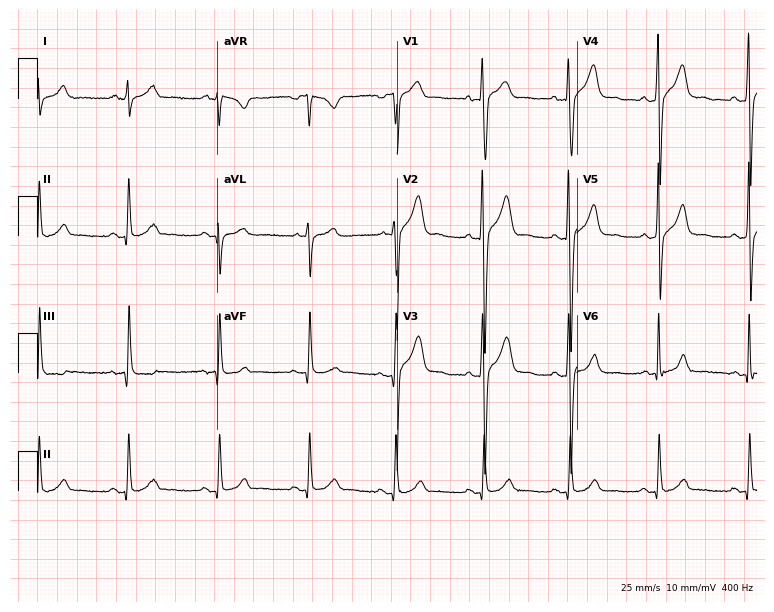
ECG — a 30-year-old male patient. Labelled as a normal ECG.